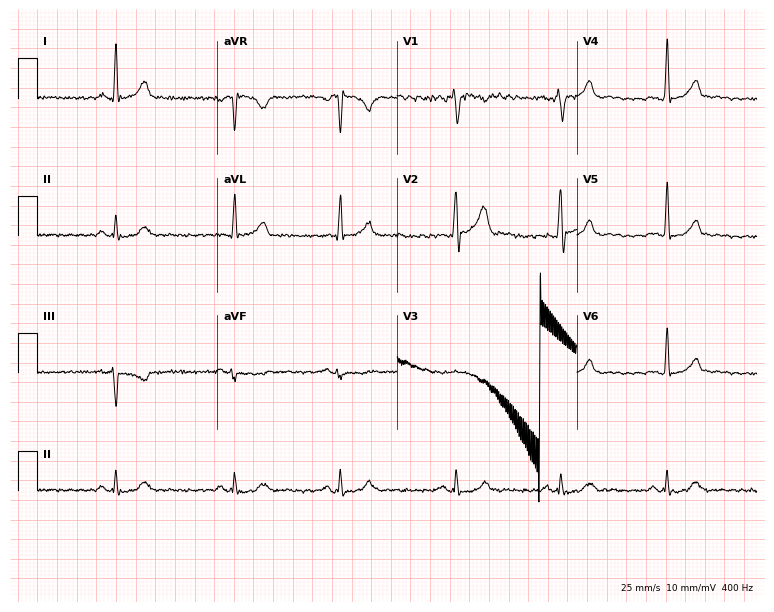
Resting 12-lead electrocardiogram. Patient: a male, 43 years old. None of these six findings is recorded: first-degree AV block, right bundle branch block, left bundle branch block, sinus bradycardia, atrial fibrillation, sinus tachycardia.